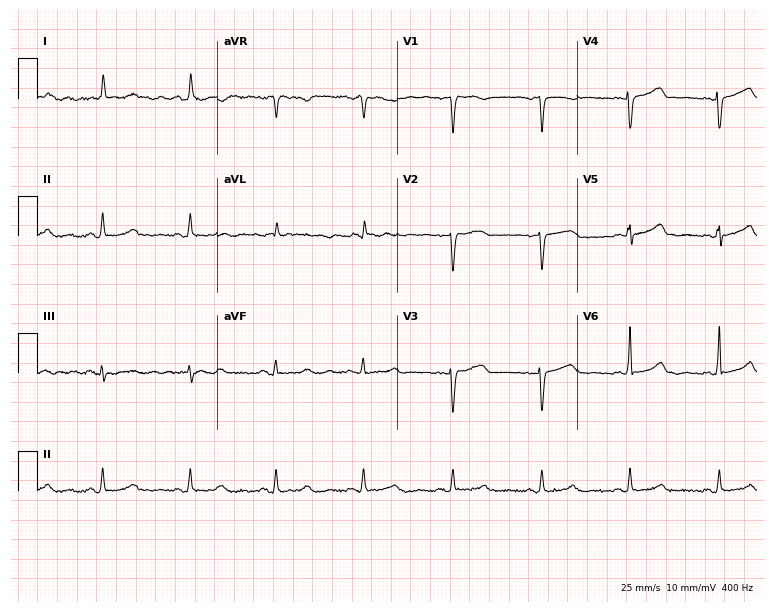
12-lead ECG (7.3-second recording at 400 Hz) from a woman, 73 years old. Screened for six findings — first-degree AV block, right bundle branch block, left bundle branch block, sinus bradycardia, atrial fibrillation, sinus tachycardia — none is recorded. Only these six findings were labelled.